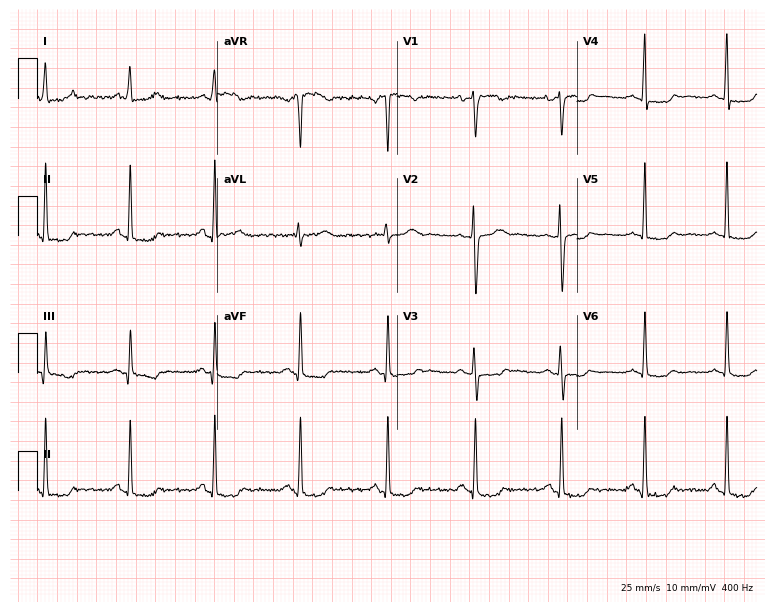
ECG — a female, 42 years old. Labelled as a normal ECG.